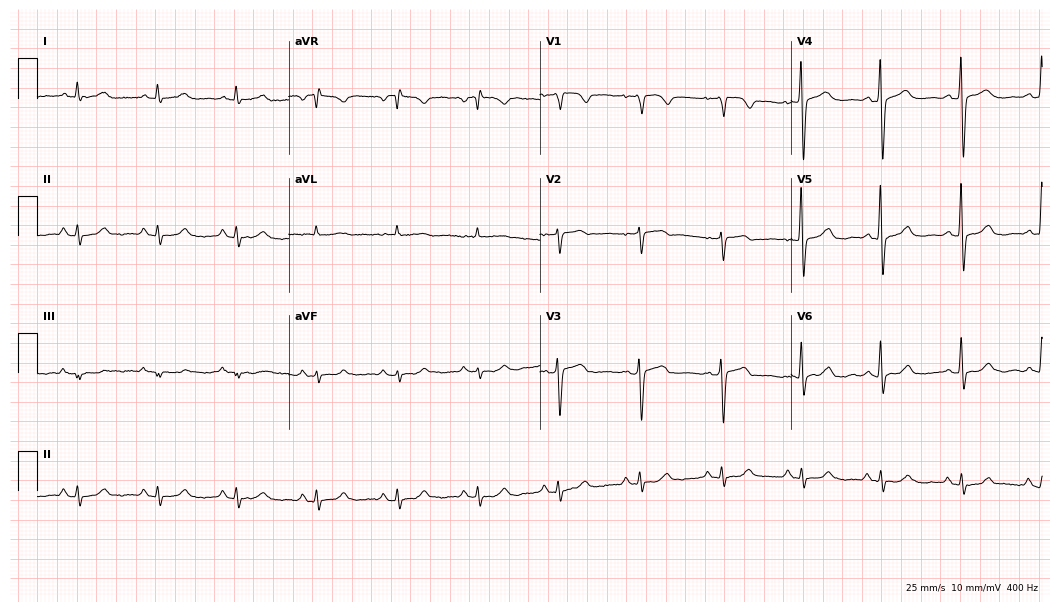
ECG (10.2-second recording at 400 Hz) — a female patient, 64 years old. Labelled as a normal ECG.